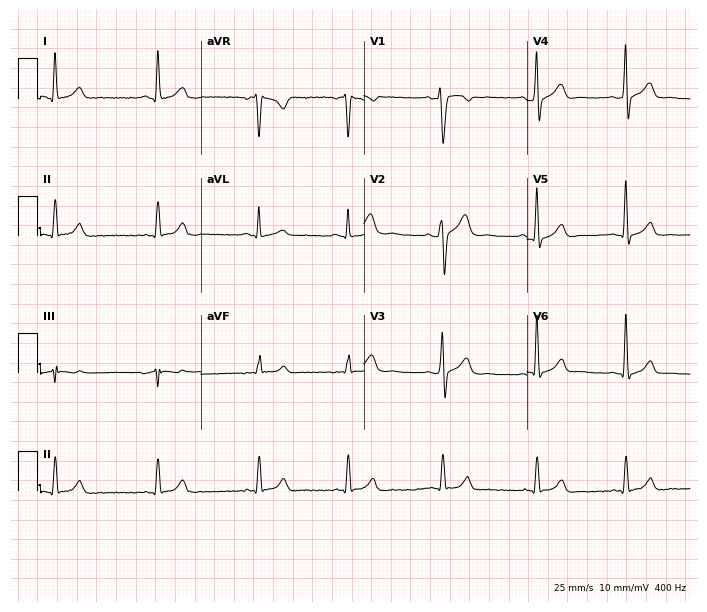
ECG — a 31-year-old man. Screened for six findings — first-degree AV block, right bundle branch block, left bundle branch block, sinus bradycardia, atrial fibrillation, sinus tachycardia — none is recorded. Other findings, if any, are not listed.